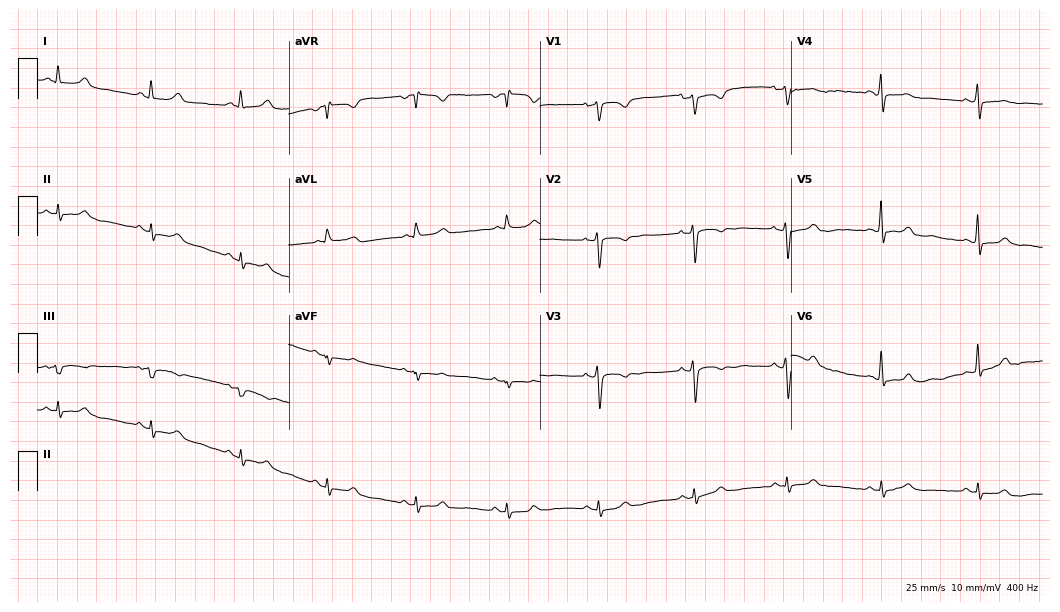
Electrocardiogram, a 36-year-old woman. Overall reading on record: normal ECG.